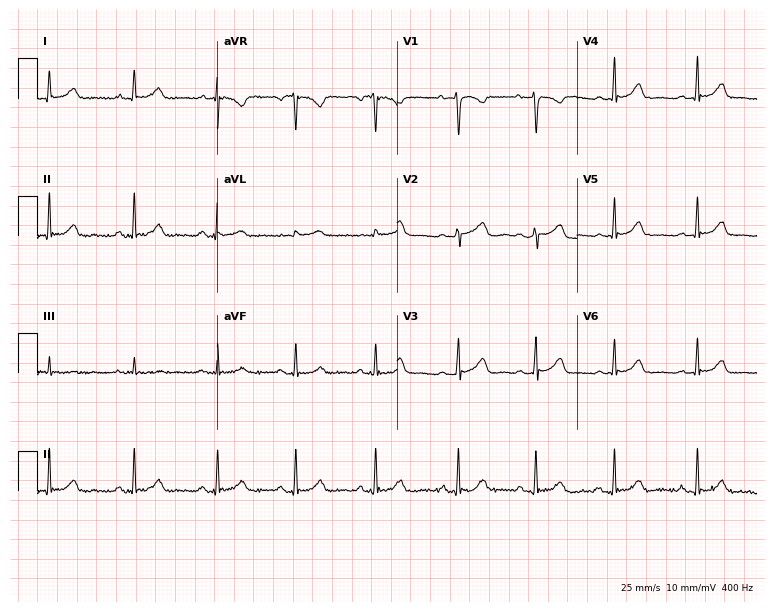
Electrocardiogram (7.3-second recording at 400 Hz), a 22-year-old woman. Of the six screened findings (first-degree AV block, right bundle branch block, left bundle branch block, sinus bradycardia, atrial fibrillation, sinus tachycardia), none is recorded.